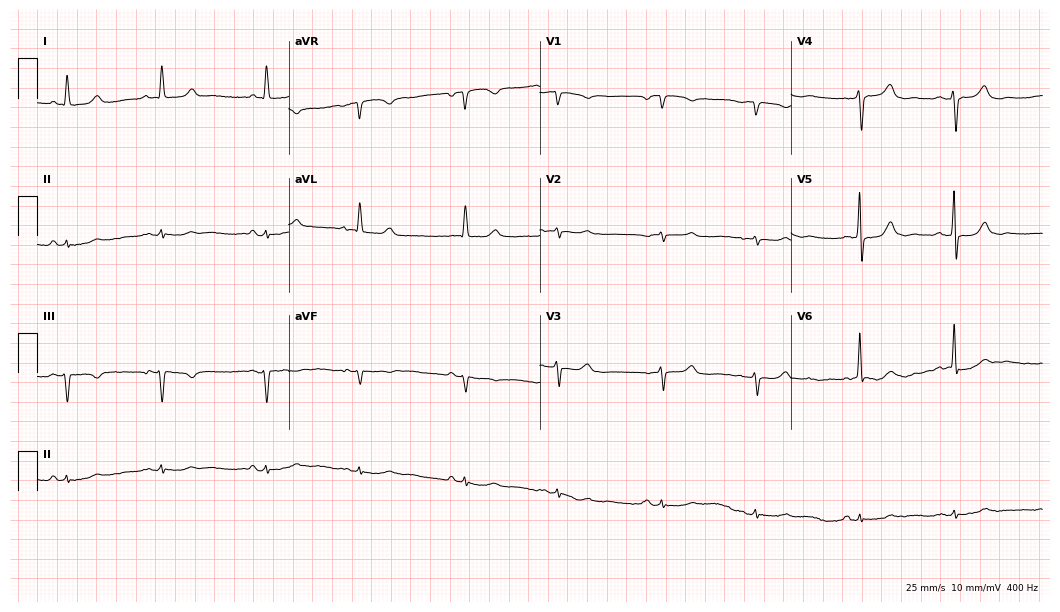
ECG (10.2-second recording at 400 Hz) — an 81-year-old female. Screened for six findings — first-degree AV block, right bundle branch block (RBBB), left bundle branch block (LBBB), sinus bradycardia, atrial fibrillation (AF), sinus tachycardia — none is recorded. Other findings, if any, are not listed.